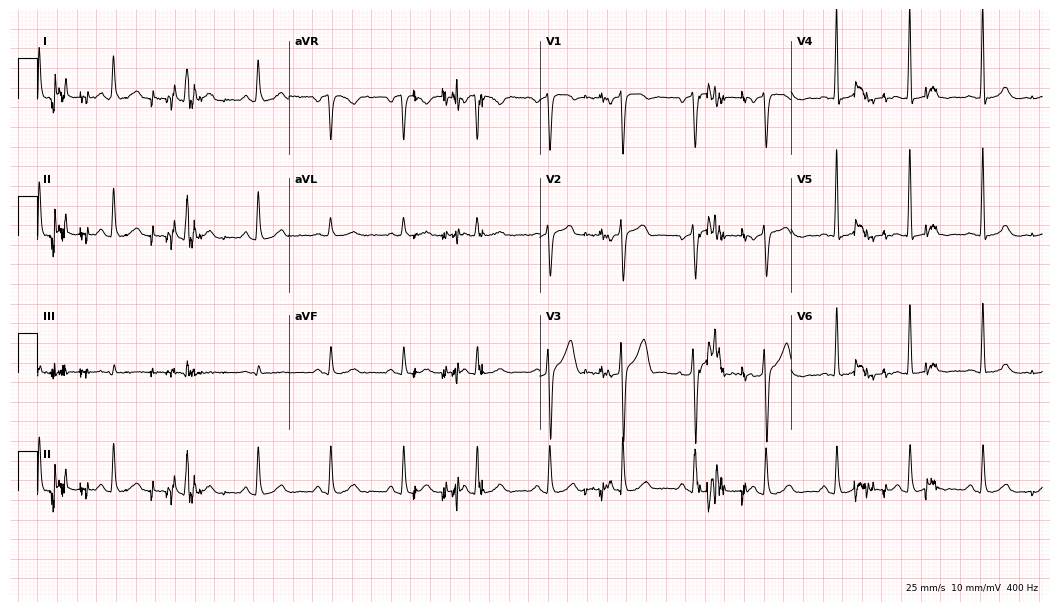
Standard 12-lead ECG recorded from a 45-year-old man (10.2-second recording at 400 Hz). Read as a normal ECG.